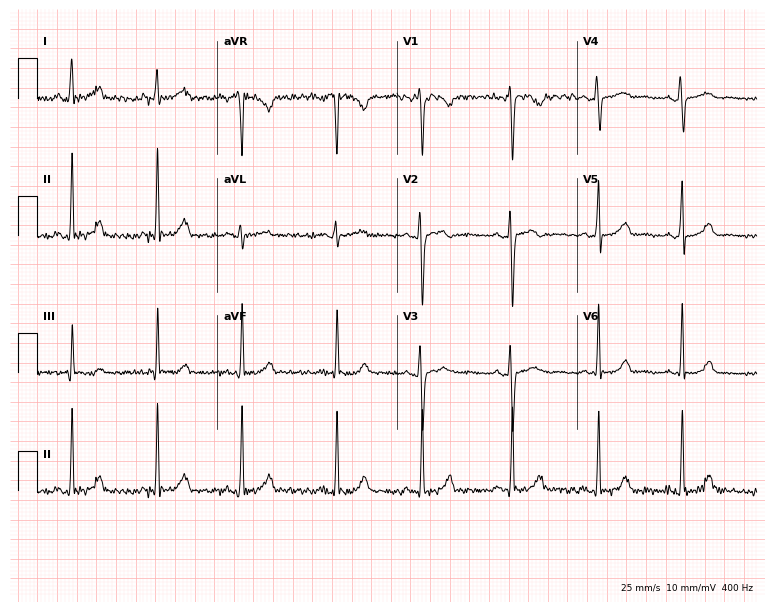
12-lead ECG from a 28-year-old female patient. Recorded interpretation: within normal limits.